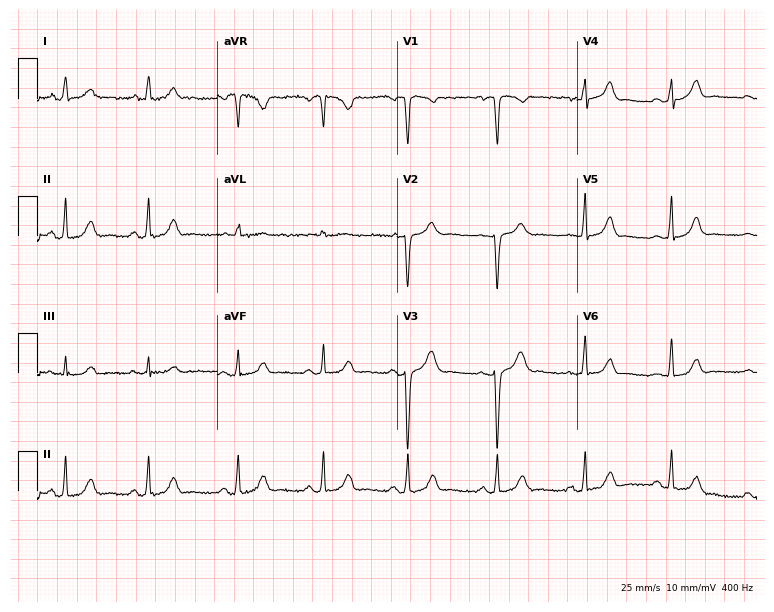
ECG (7.3-second recording at 400 Hz) — a female patient, 21 years old. Labelled as a normal ECG.